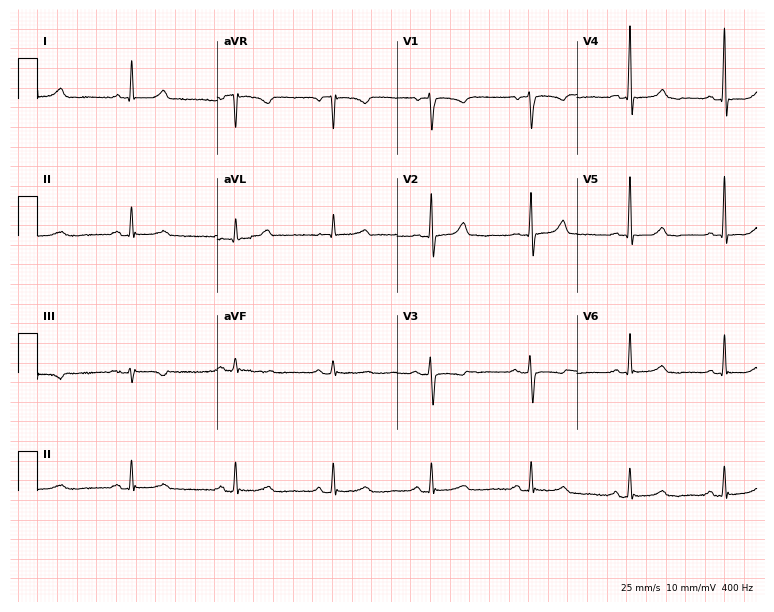
Electrocardiogram (7.3-second recording at 400 Hz), a 67-year-old female. Overall reading on record: normal ECG.